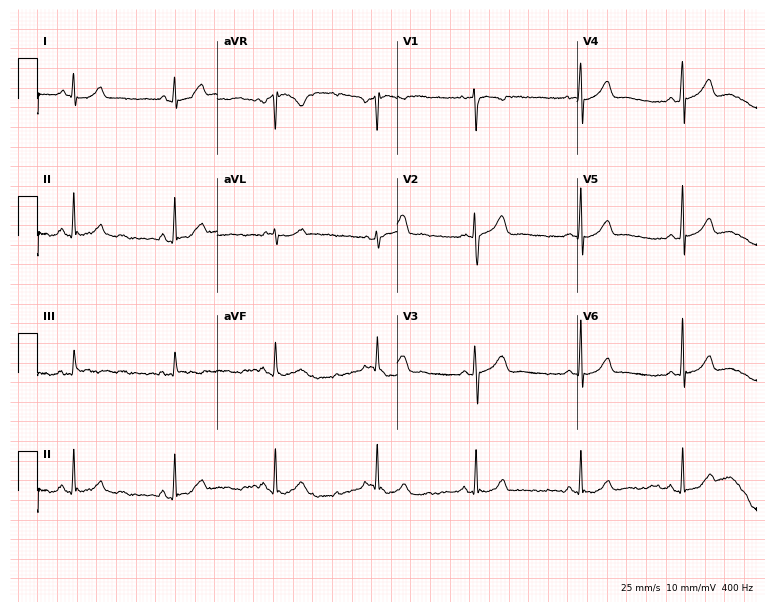
Standard 12-lead ECG recorded from a woman, 23 years old. None of these six findings is recorded: first-degree AV block, right bundle branch block, left bundle branch block, sinus bradycardia, atrial fibrillation, sinus tachycardia. Only these six findings were labelled.